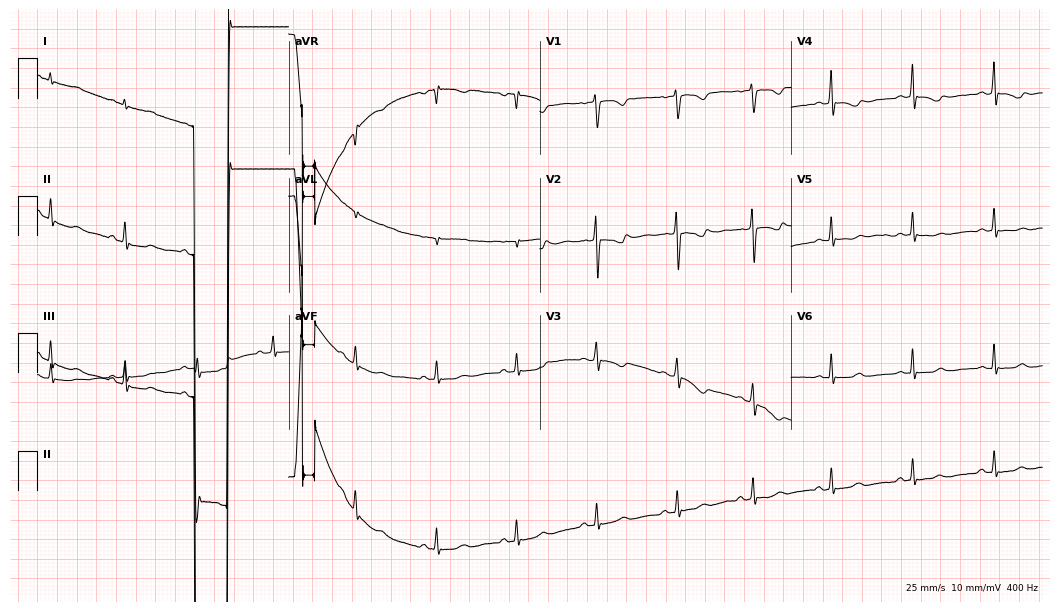
ECG — a 21-year-old female patient. Screened for six findings — first-degree AV block, right bundle branch block (RBBB), left bundle branch block (LBBB), sinus bradycardia, atrial fibrillation (AF), sinus tachycardia — none is recorded.